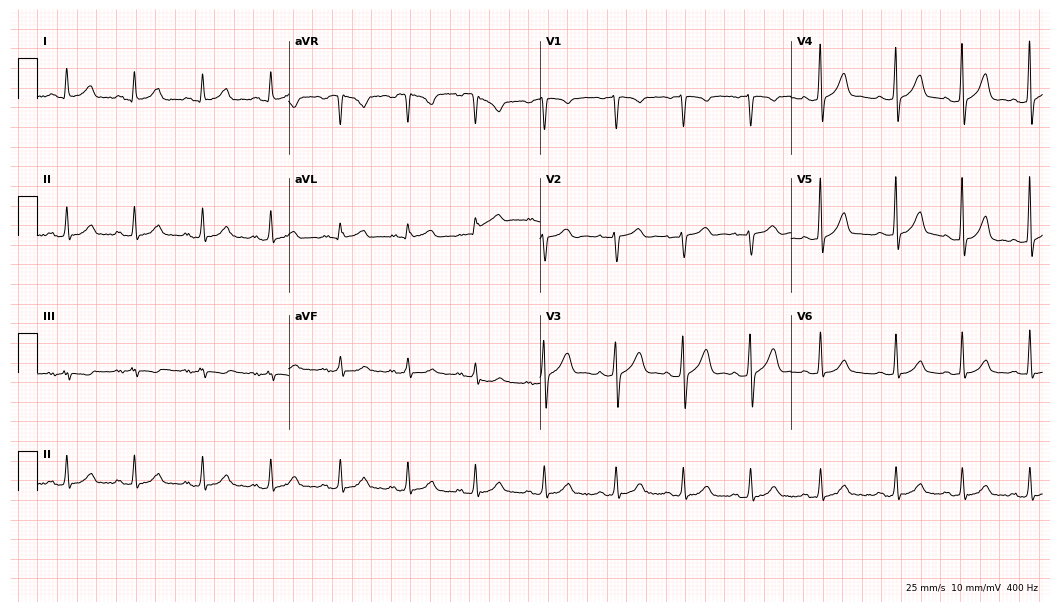
ECG (10.2-second recording at 400 Hz) — a 29-year-old female. Labelled as a normal ECG.